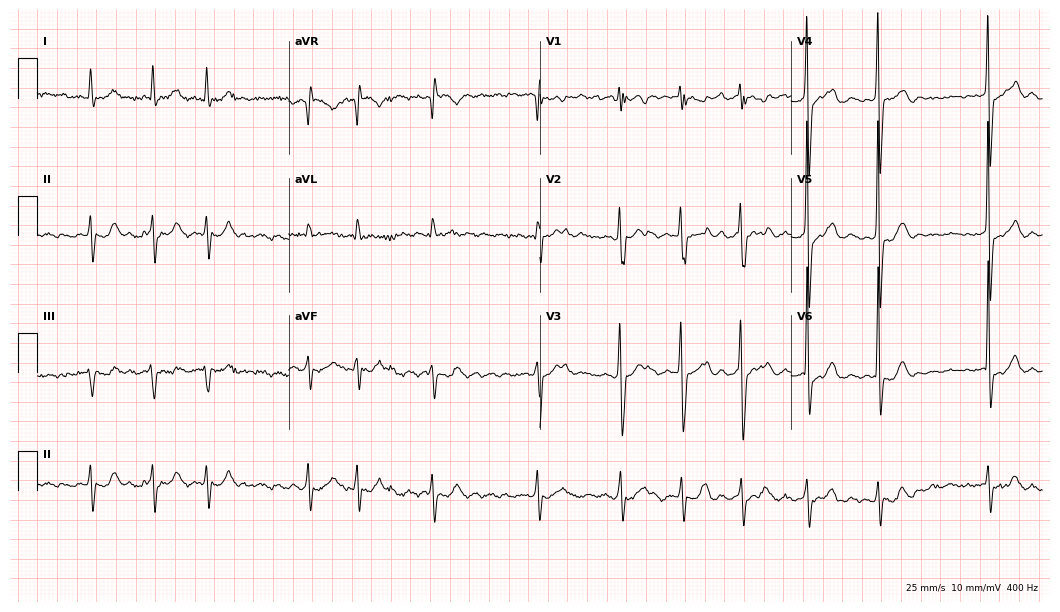
Resting 12-lead electrocardiogram (10.2-second recording at 400 Hz). Patient: a 74-year-old male. The tracing shows atrial fibrillation.